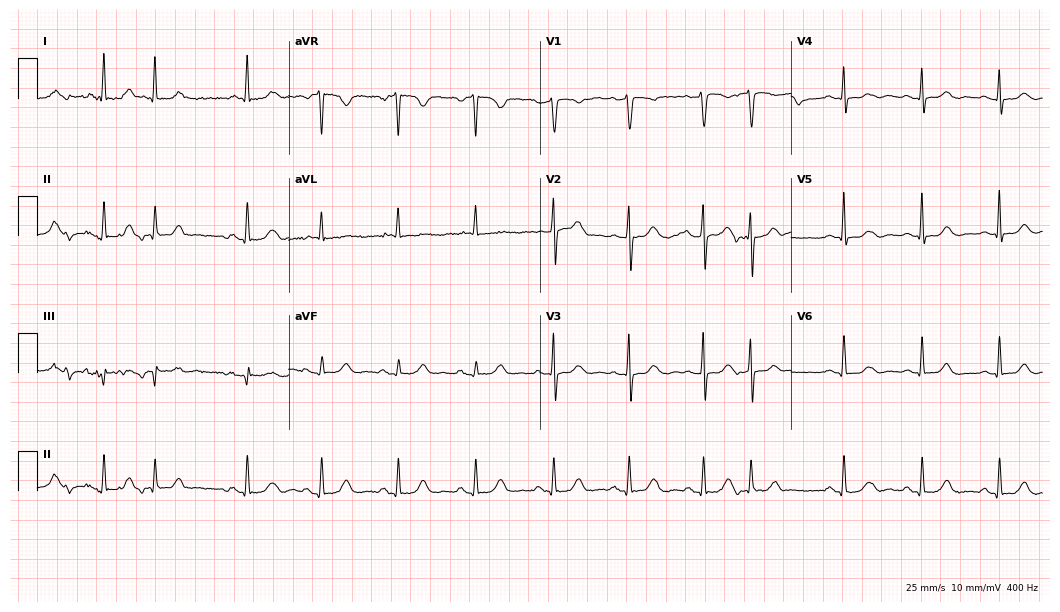
Resting 12-lead electrocardiogram (10.2-second recording at 400 Hz). Patient: a 65-year-old female. None of these six findings is recorded: first-degree AV block, right bundle branch block, left bundle branch block, sinus bradycardia, atrial fibrillation, sinus tachycardia.